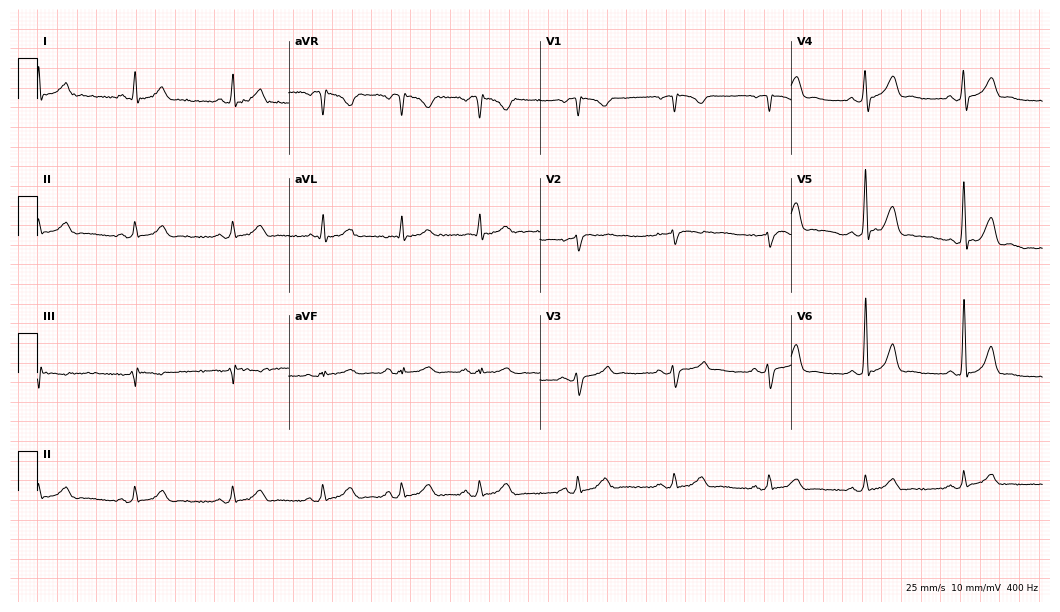
12-lead ECG from a male patient, 45 years old (10.2-second recording at 400 Hz). Recorded interpretation: within normal limits.